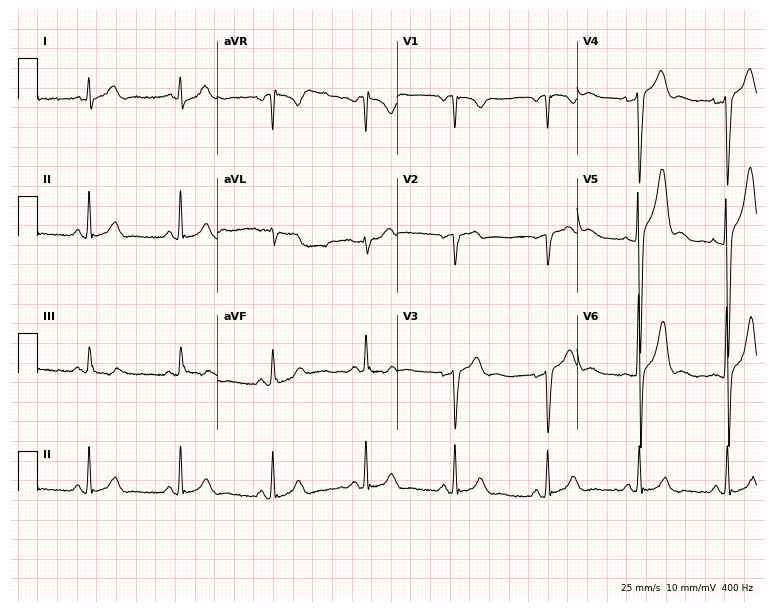
ECG — a male, 36 years old. Labelled as a normal ECG.